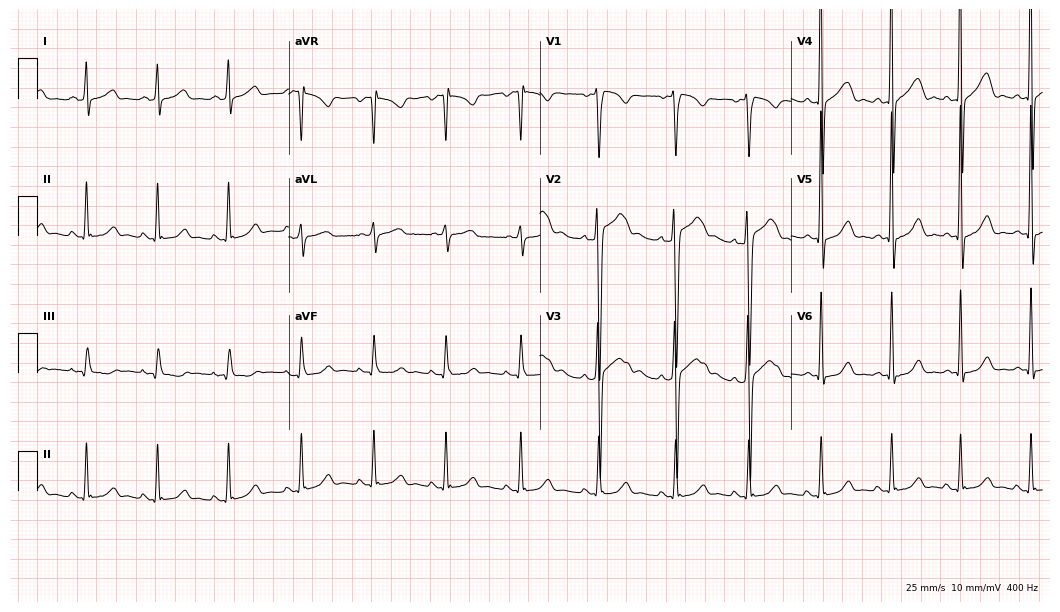
12-lead ECG (10.2-second recording at 400 Hz) from a male patient, 33 years old. Screened for six findings — first-degree AV block, right bundle branch block, left bundle branch block, sinus bradycardia, atrial fibrillation, sinus tachycardia — none is recorded. Only these six findings were labelled.